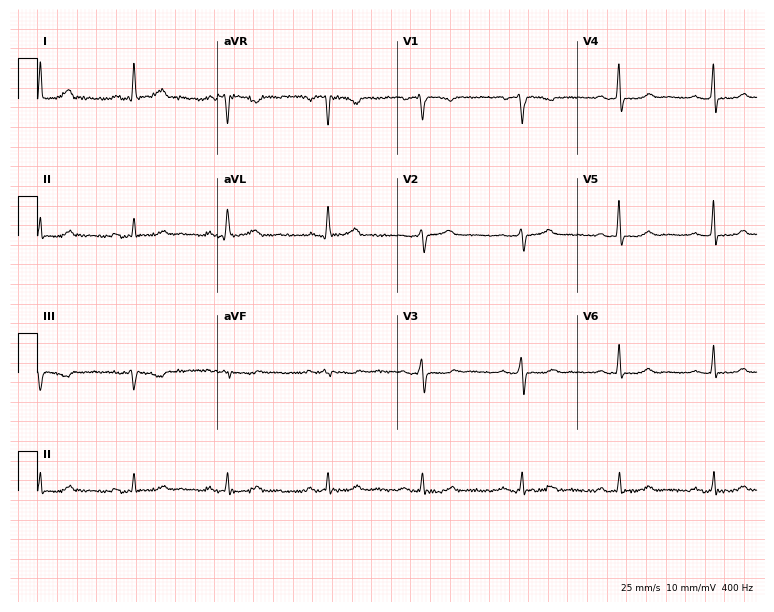
Resting 12-lead electrocardiogram (7.3-second recording at 400 Hz). Patient: a female, 58 years old. None of these six findings is recorded: first-degree AV block, right bundle branch block (RBBB), left bundle branch block (LBBB), sinus bradycardia, atrial fibrillation (AF), sinus tachycardia. Other findings, if any, are not listed.